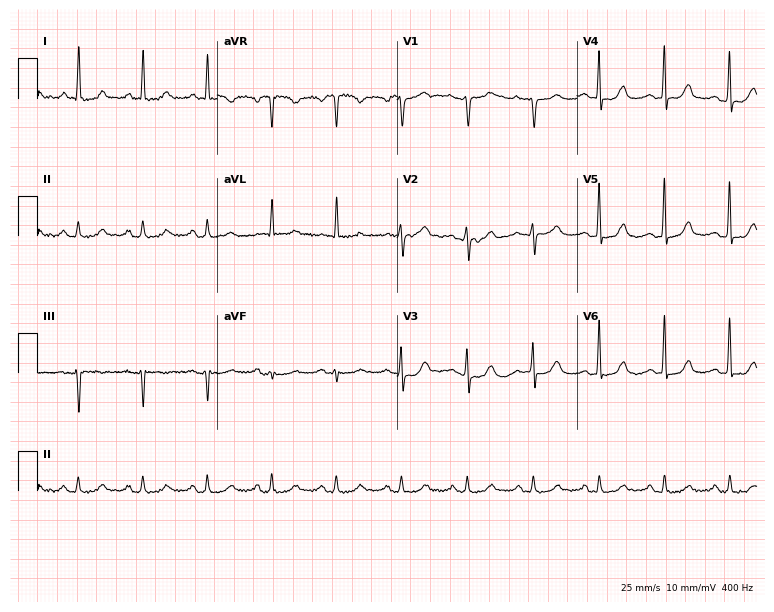
Electrocardiogram (7.3-second recording at 400 Hz), a 75-year-old female. Overall reading on record: normal ECG.